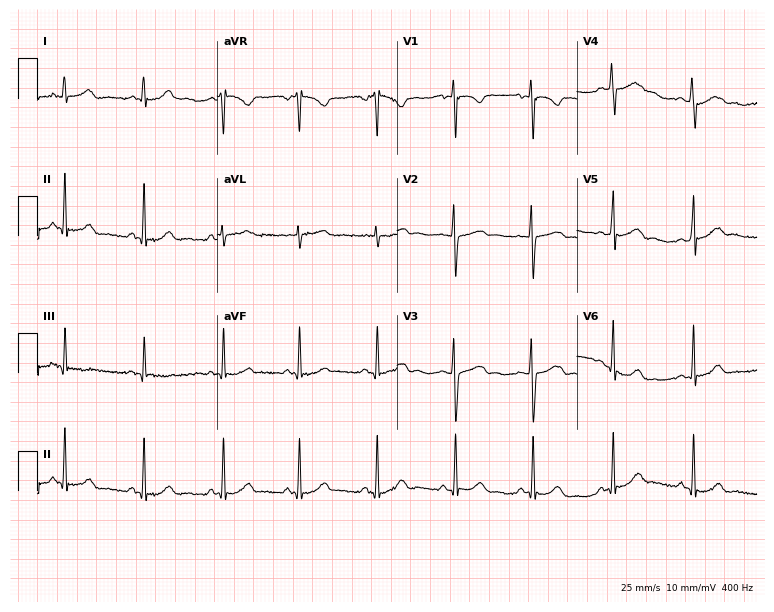
Resting 12-lead electrocardiogram (7.3-second recording at 400 Hz). Patient: a woman, 23 years old. Read as a normal ECG.